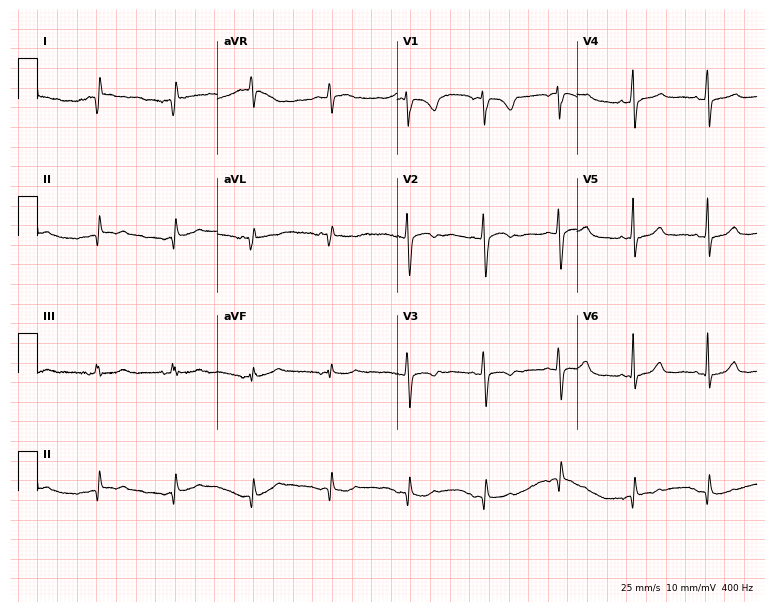
ECG (7.3-second recording at 400 Hz) — a 36-year-old female. Screened for six findings — first-degree AV block, right bundle branch block (RBBB), left bundle branch block (LBBB), sinus bradycardia, atrial fibrillation (AF), sinus tachycardia — none is recorded. Only these six findings were labelled.